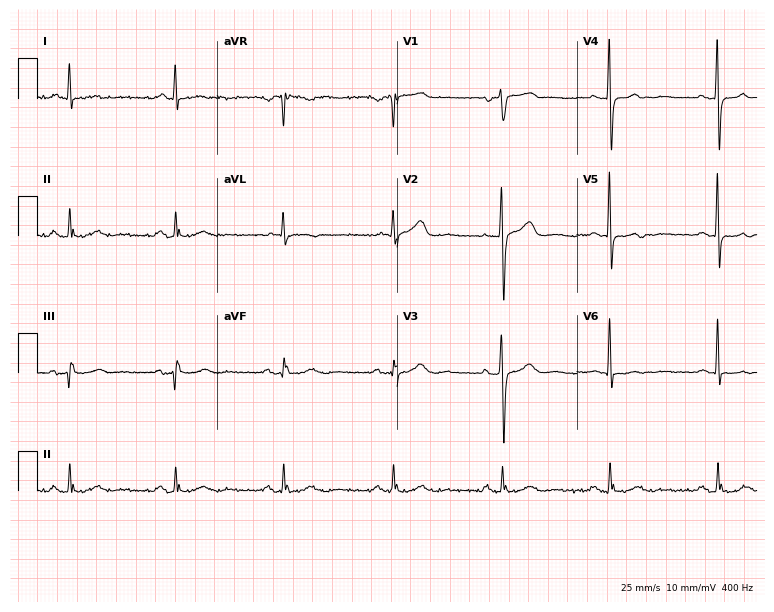
Standard 12-lead ECG recorded from a male, 82 years old. None of these six findings is recorded: first-degree AV block, right bundle branch block (RBBB), left bundle branch block (LBBB), sinus bradycardia, atrial fibrillation (AF), sinus tachycardia.